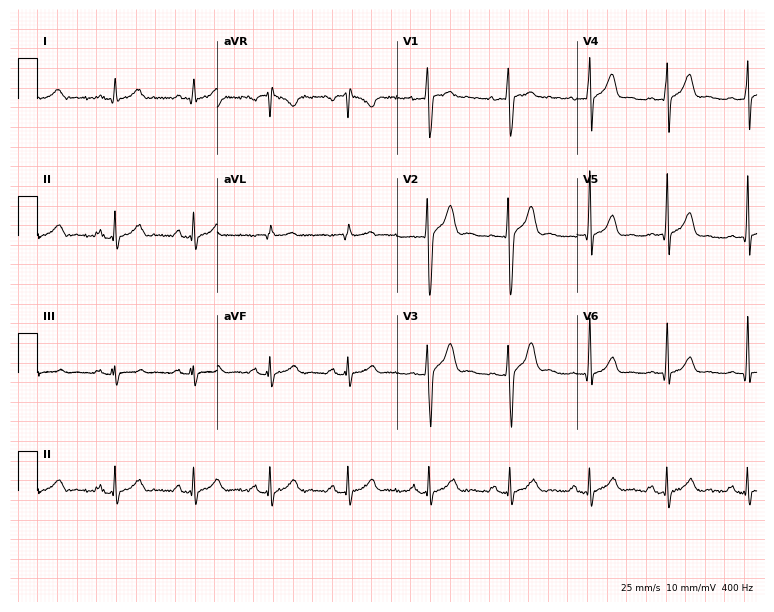
12-lead ECG (7.3-second recording at 400 Hz) from a 26-year-old male patient. Screened for six findings — first-degree AV block, right bundle branch block, left bundle branch block, sinus bradycardia, atrial fibrillation, sinus tachycardia — none is recorded.